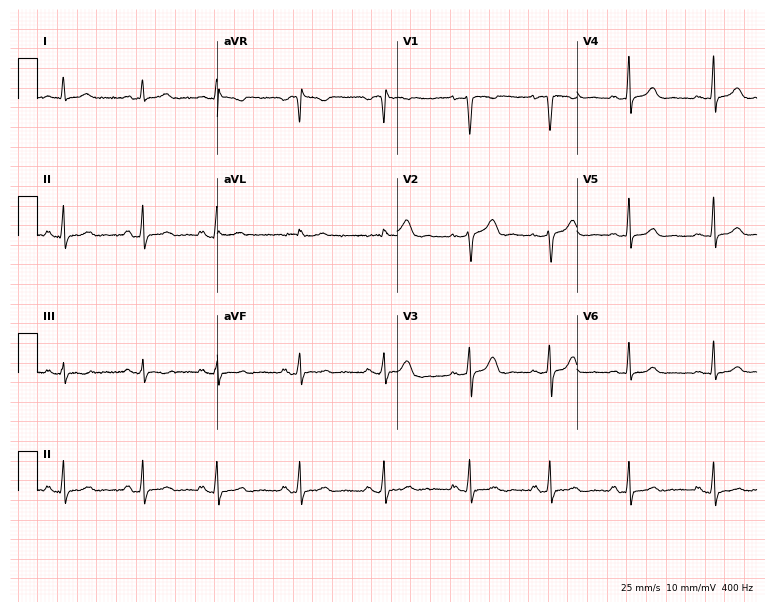
Resting 12-lead electrocardiogram (7.3-second recording at 400 Hz). Patient: a 33-year-old female. Read as a normal ECG.